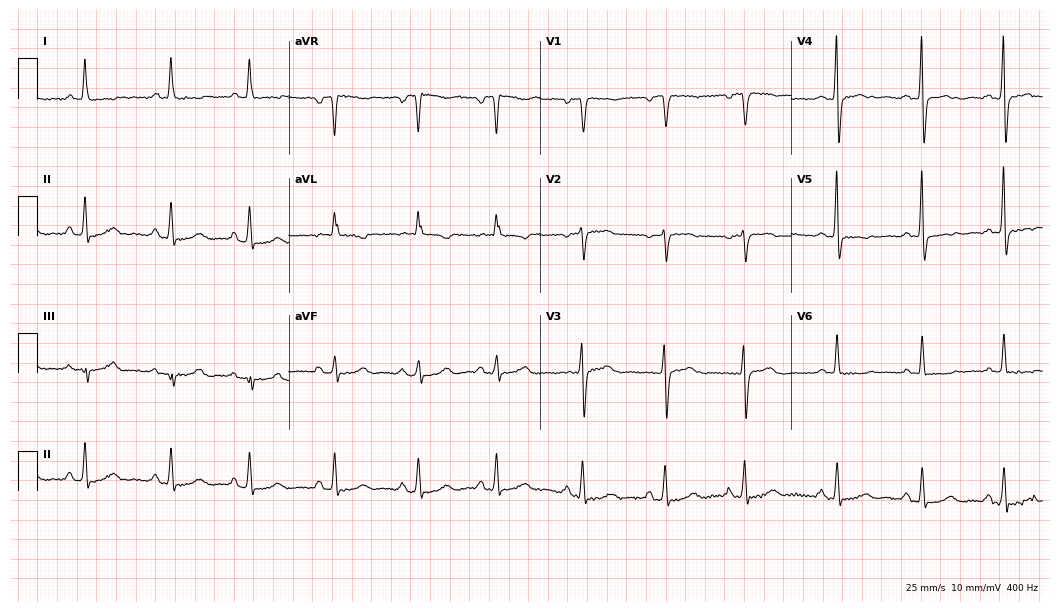
ECG — a 59-year-old female patient. Screened for six findings — first-degree AV block, right bundle branch block (RBBB), left bundle branch block (LBBB), sinus bradycardia, atrial fibrillation (AF), sinus tachycardia — none is recorded. Only these six findings were labelled.